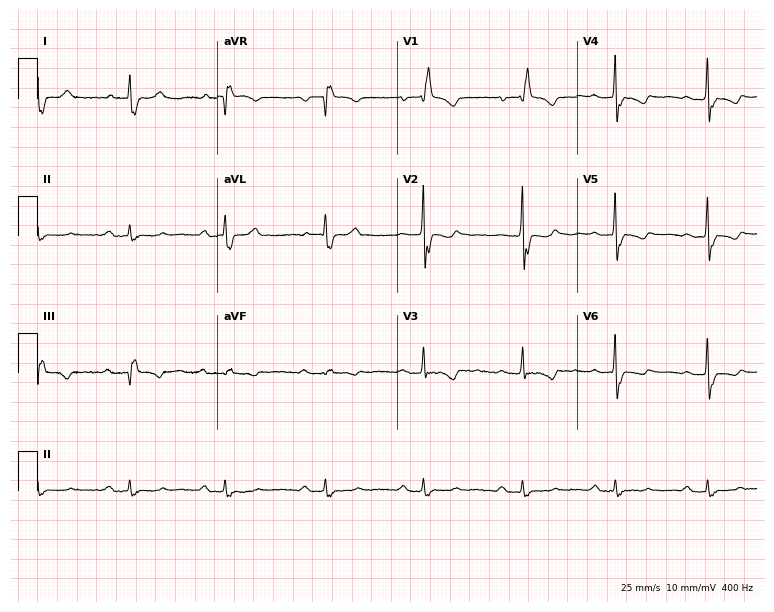
12-lead ECG from a female patient, 73 years old. Shows first-degree AV block, right bundle branch block (RBBB).